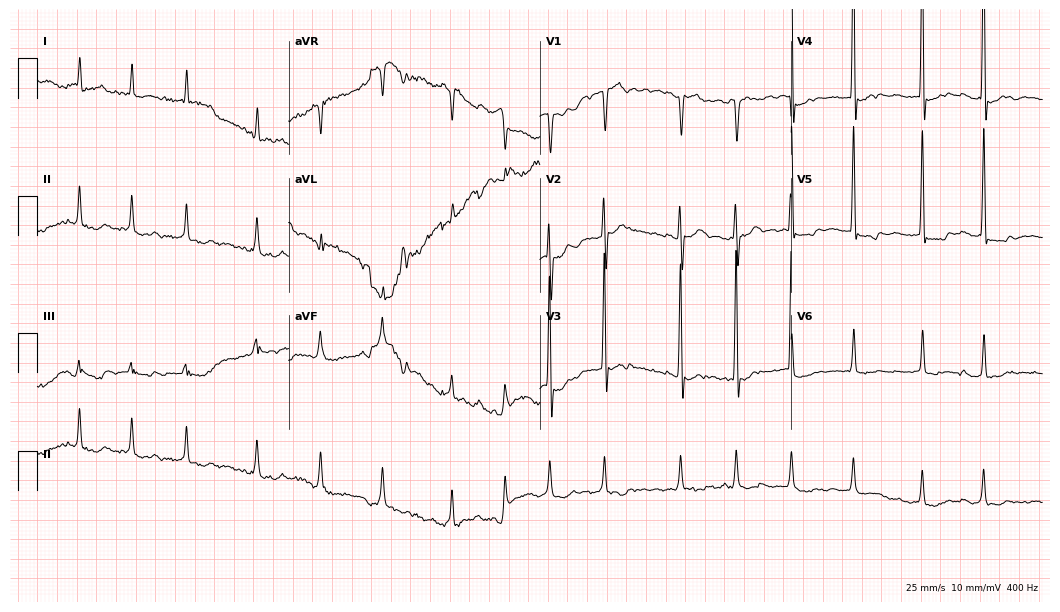
12-lead ECG from a man, 85 years old. Shows atrial fibrillation.